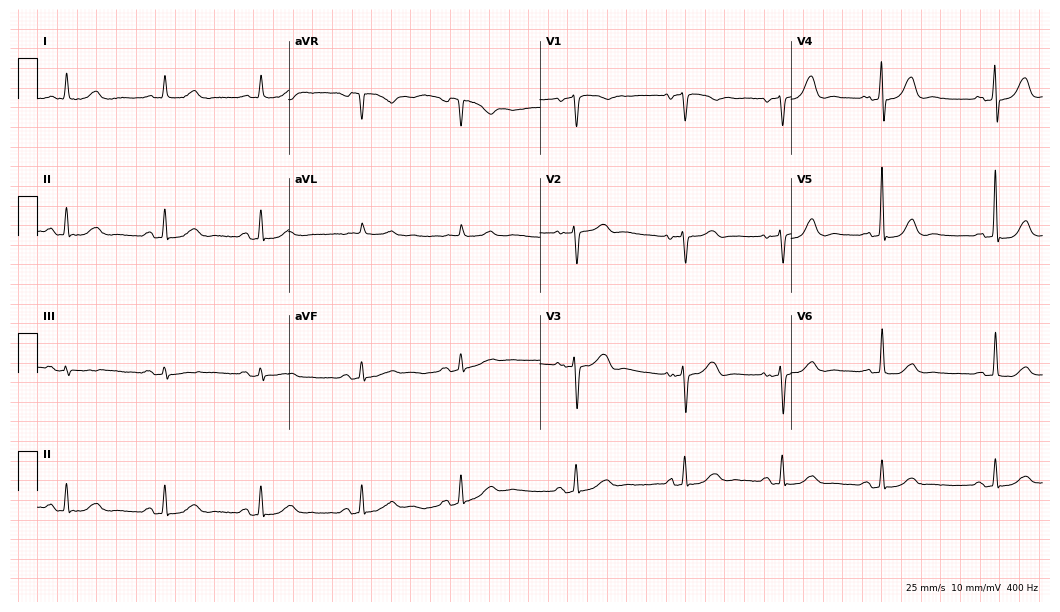
ECG — an 82-year-old woman. Screened for six findings — first-degree AV block, right bundle branch block (RBBB), left bundle branch block (LBBB), sinus bradycardia, atrial fibrillation (AF), sinus tachycardia — none is recorded. Only these six findings were labelled.